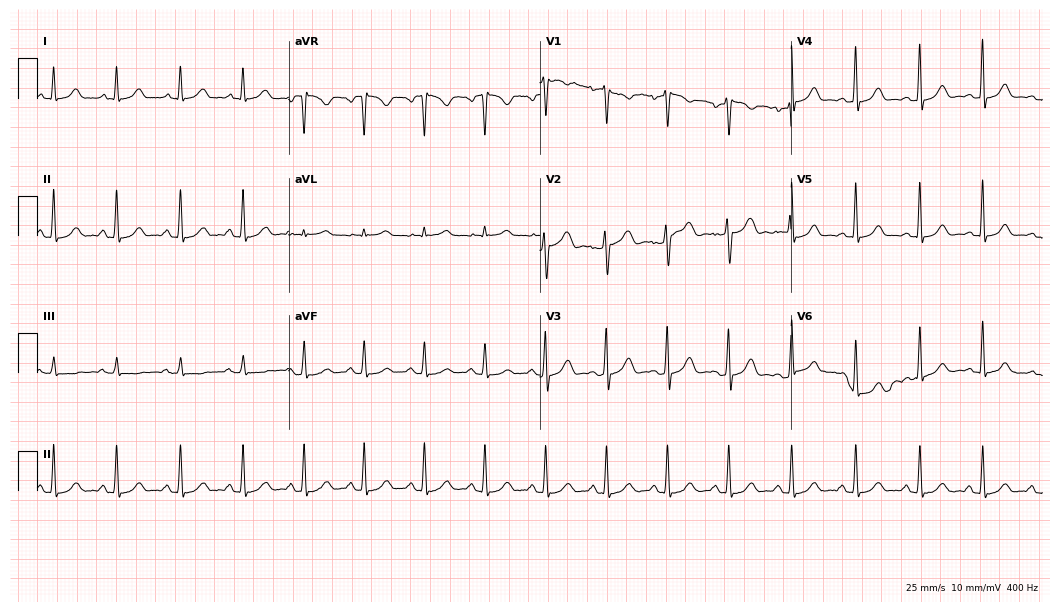
12-lead ECG from a 44-year-old woman. Labelled as a normal ECG.